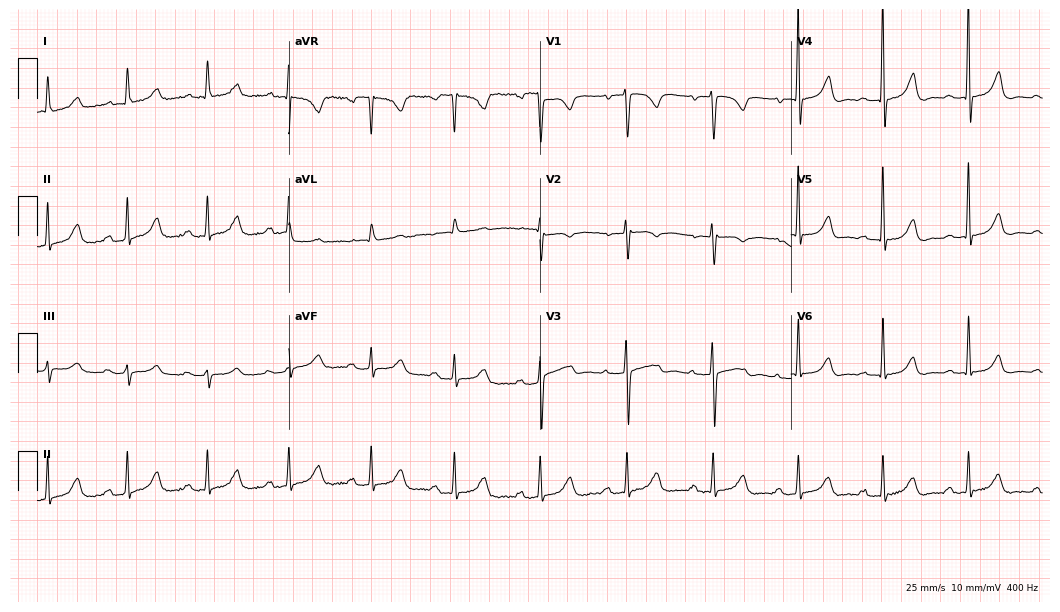
Electrocardiogram, a 59-year-old female. Overall reading on record: normal ECG.